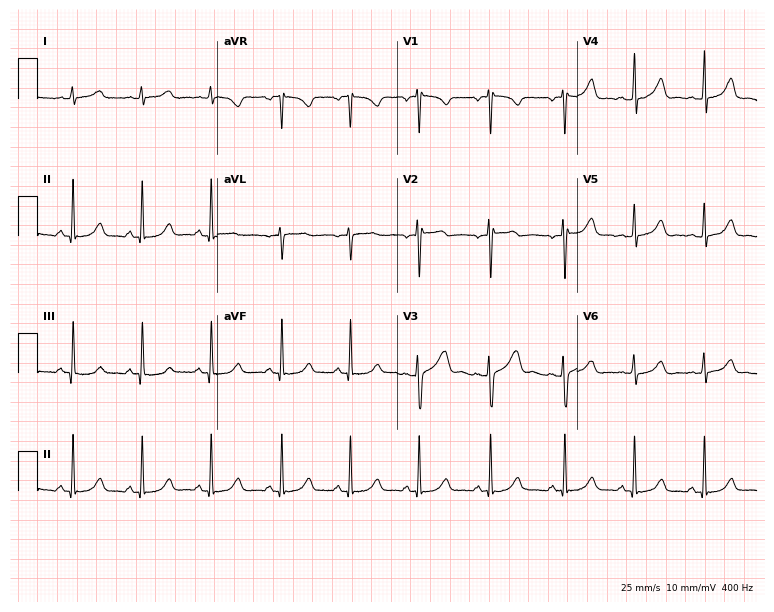
12-lead ECG from a woman, 26 years old. Labelled as a normal ECG.